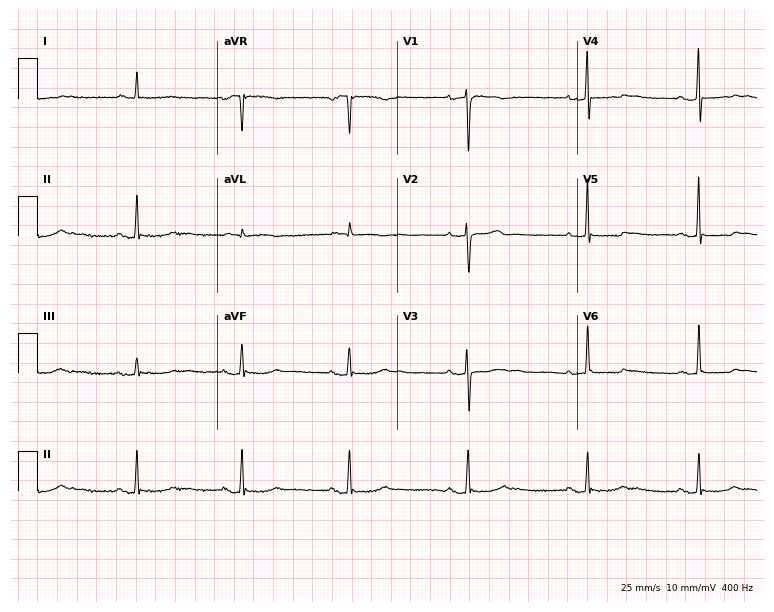
Electrocardiogram, a woman, 49 years old. Of the six screened findings (first-degree AV block, right bundle branch block, left bundle branch block, sinus bradycardia, atrial fibrillation, sinus tachycardia), none is recorded. Findings outside these six are not listed.